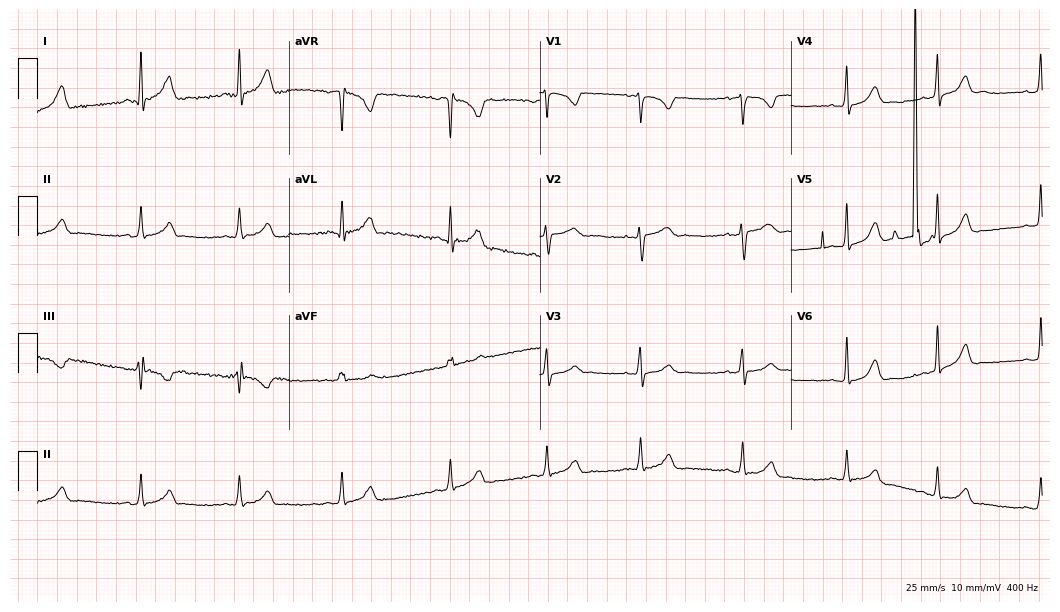
Standard 12-lead ECG recorded from a female, 28 years old (10.2-second recording at 400 Hz). None of these six findings is recorded: first-degree AV block, right bundle branch block, left bundle branch block, sinus bradycardia, atrial fibrillation, sinus tachycardia. Other findings, if any, are not listed.